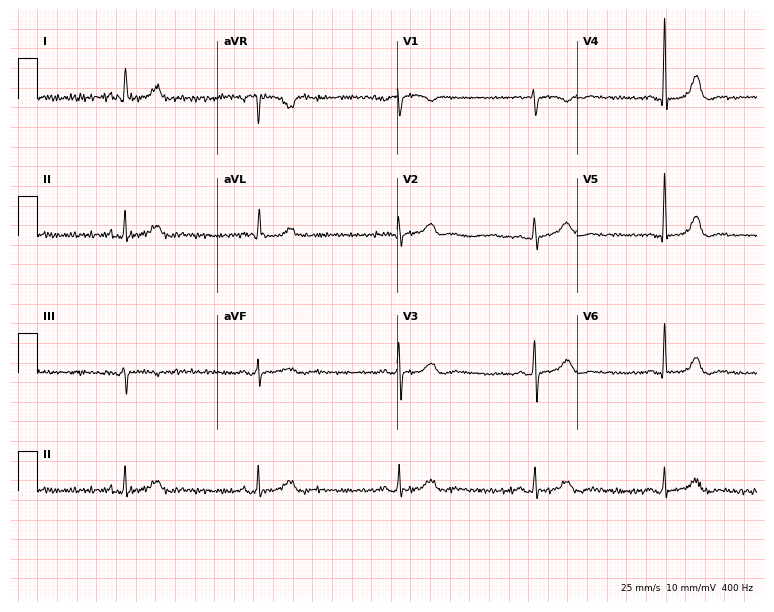
Standard 12-lead ECG recorded from a female patient, 45 years old (7.3-second recording at 400 Hz). None of these six findings is recorded: first-degree AV block, right bundle branch block (RBBB), left bundle branch block (LBBB), sinus bradycardia, atrial fibrillation (AF), sinus tachycardia.